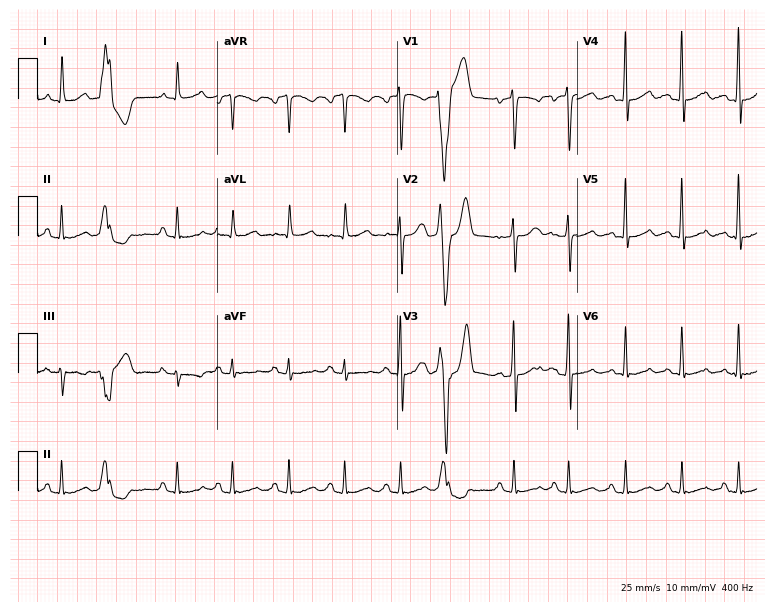
12-lead ECG (7.3-second recording at 400 Hz) from a 56-year-old male. Screened for six findings — first-degree AV block, right bundle branch block, left bundle branch block, sinus bradycardia, atrial fibrillation, sinus tachycardia — none is recorded. Findings outside these six are not listed.